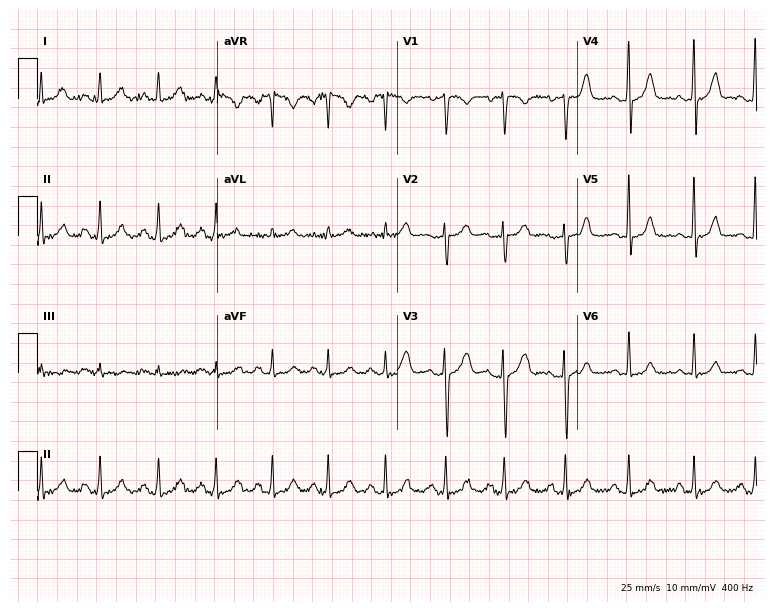
Resting 12-lead electrocardiogram. Patient: a woman, 33 years old. None of these six findings is recorded: first-degree AV block, right bundle branch block (RBBB), left bundle branch block (LBBB), sinus bradycardia, atrial fibrillation (AF), sinus tachycardia. Only these six findings were labelled.